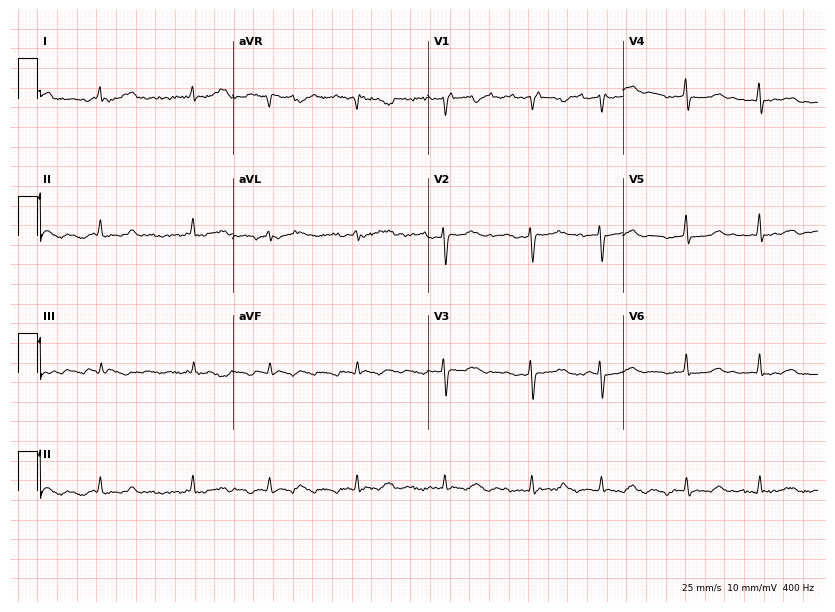
Resting 12-lead electrocardiogram. Patient: a female, 30 years old. None of these six findings is recorded: first-degree AV block, right bundle branch block, left bundle branch block, sinus bradycardia, atrial fibrillation, sinus tachycardia.